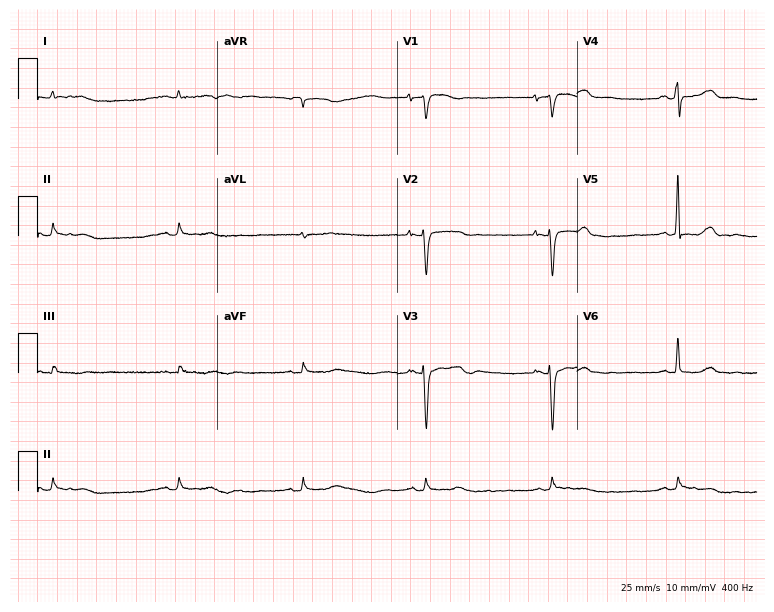
ECG (7.3-second recording at 400 Hz) — a 69-year-old woman. Findings include sinus bradycardia (a sinus rate of 50 beats per minute or less).